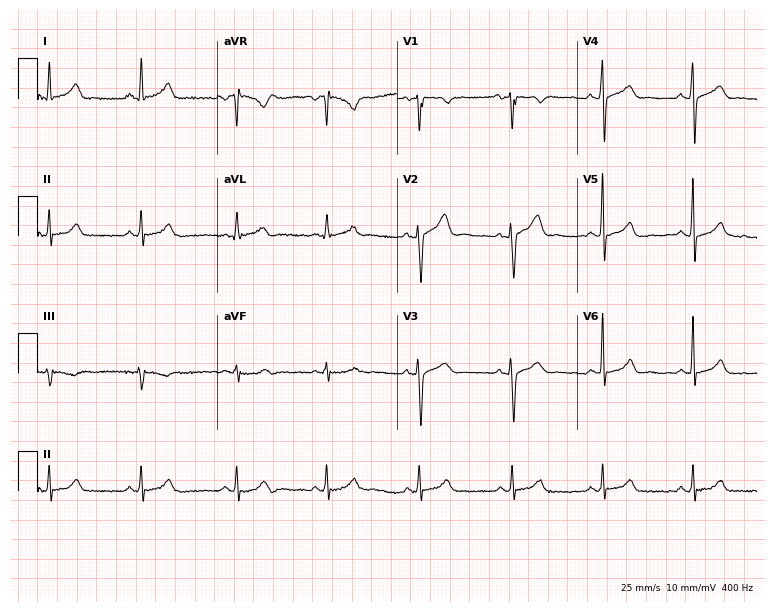
Standard 12-lead ECG recorded from a male, 32 years old. Read as a normal ECG.